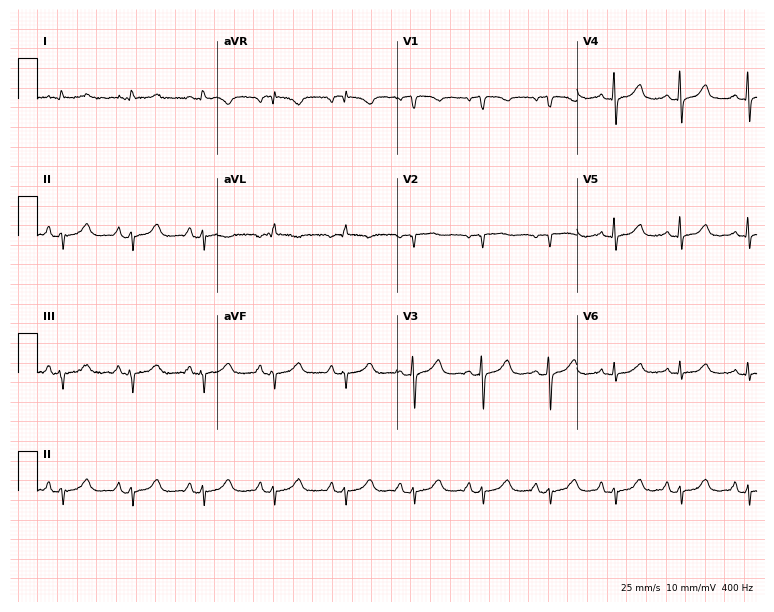
12-lead ECG (7.3-second recording at 400 Hz) from a 67-year-old female. Screened for six findings — first-degree AV block, right bundle branch block, left bundle branch block, sinus bradycardia, atrial fibrillation, sinus tachycardia — none is recorded. Other findings, if any, are not listed.